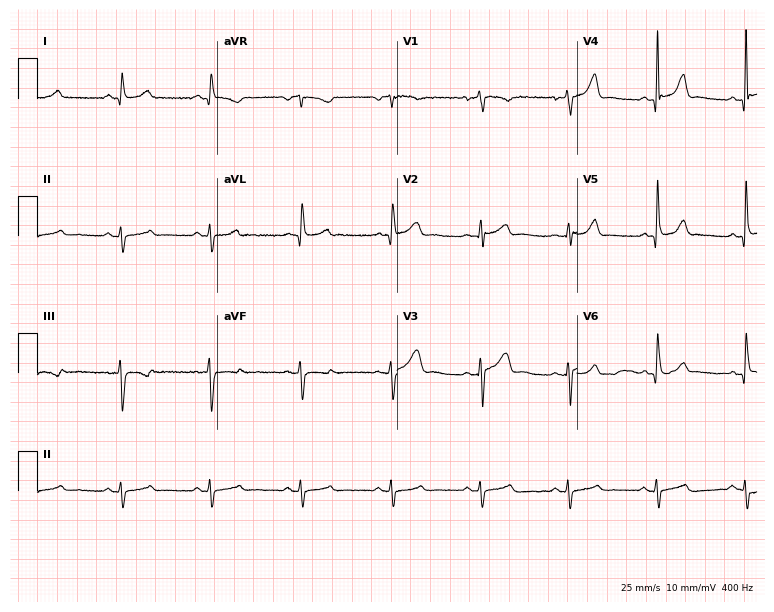
12-lead ECG from a 33-year-old female patient. Screened for six findings — first-degree AV block, right bundle branch block (RBBB), left bundle branch block (LBBB), sinus bradycardia, atrial fibrillation (AF), sinus tachycardia — none is recorded.